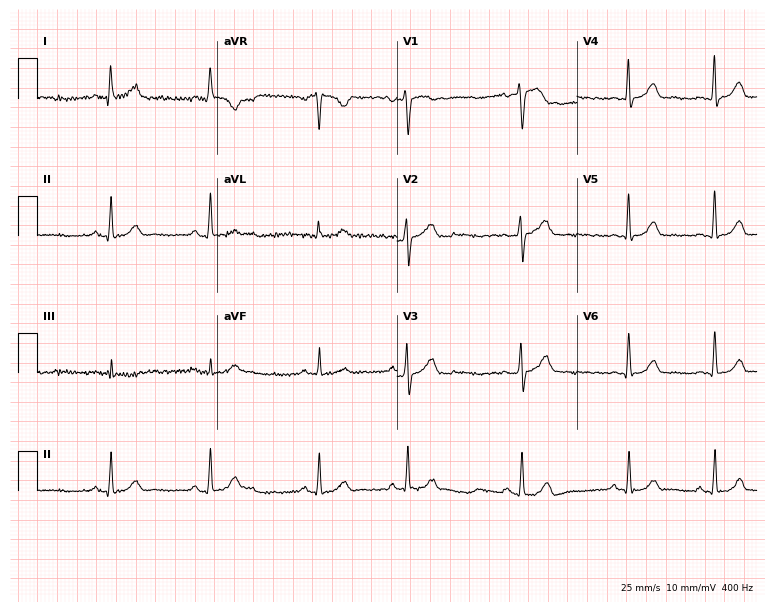
12-lead ECG from a 27-year-old female. No first-degree AV block, right bundle branch block, left bundle branch block, sinus bradycardia, atrial fibrillation or sinus tachycardia recorded for this tracing. Only these six findings were labelled.